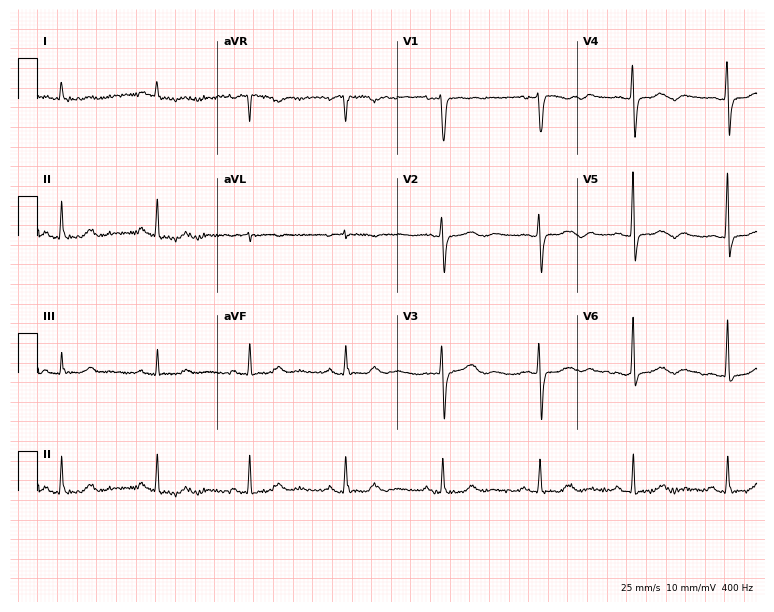
Standard 12-lead ECG recorded from a female, 76 years old (7.3-second recording at 400 Hz). None of these six findings is recorded: first-degree AV block, right bundle branch block (RBBB), left bundle branch block (LBBB), sinus bradycardia, atrial fibrillation (AF), sinus tachycardia.